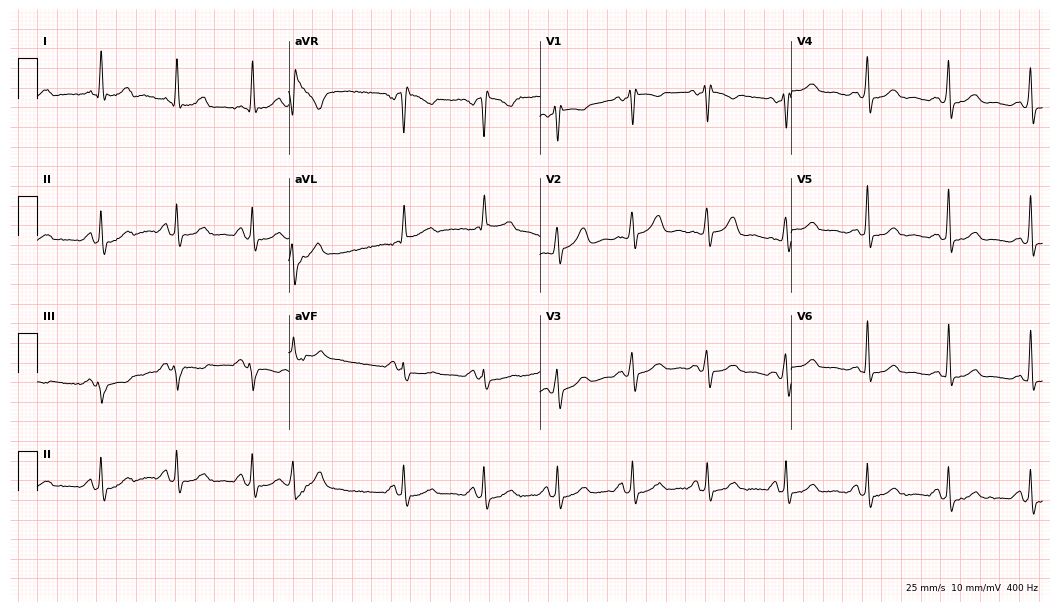
Standard 12-lead ECG recorded from a woman, 60 years old. None of these six findings is recorded: first-degree AV block, right bundle branch block (RBBB), left bundle branch block (LBBB), sinus bradycardia, atrial fibrillation (AF), sinus tachycardia.